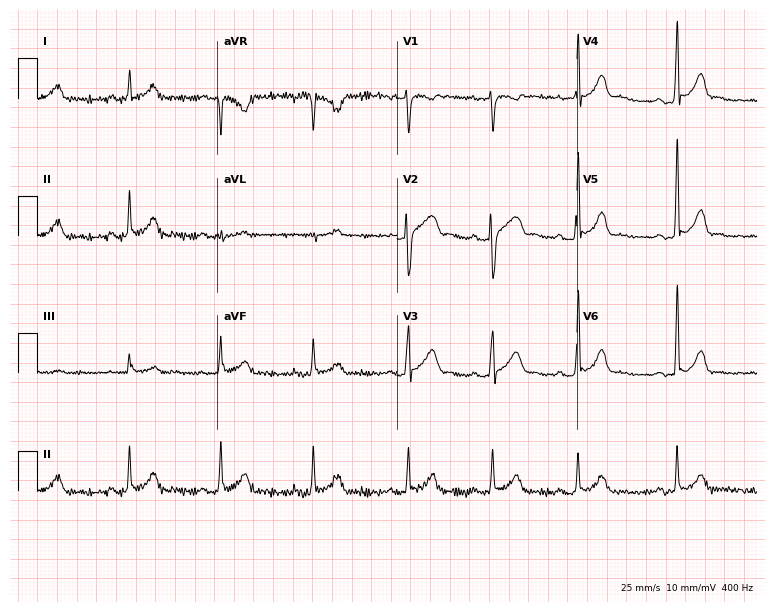
Standard 12-lead ECG recorded from a male patient, 35 years old. None of these six findings is recorded: first-degree AV block, right bundle branch block, left bundle branch block, sinus bradycardia, atrial fibrillation, sinus tachycardia. Findings outside these six are not listed.